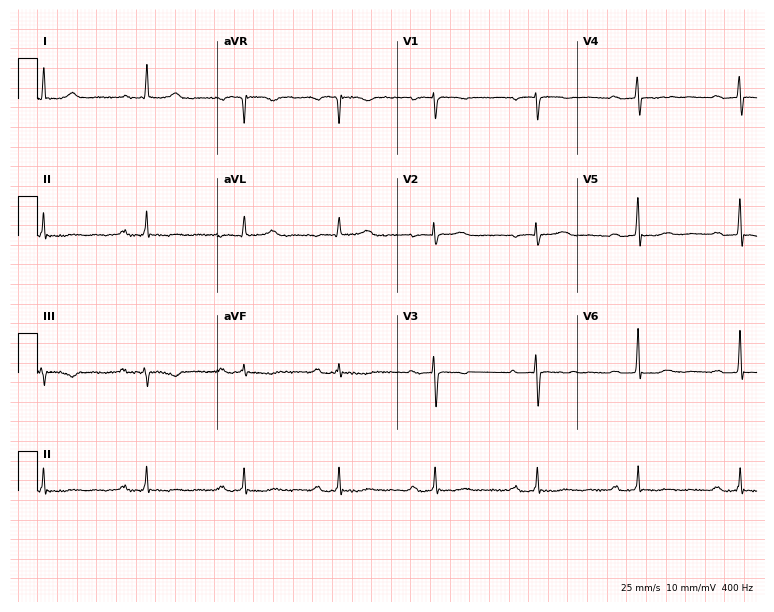
Standard 12-lead ECG recorded from a 54-year-old female. None of these six findings is recorded: first-degree AV block, right bundle branch block, left bundle branch block, sinus bradycardia, atrial fibrillation, sinus tachycardia. Other findings, if any, are not listed.